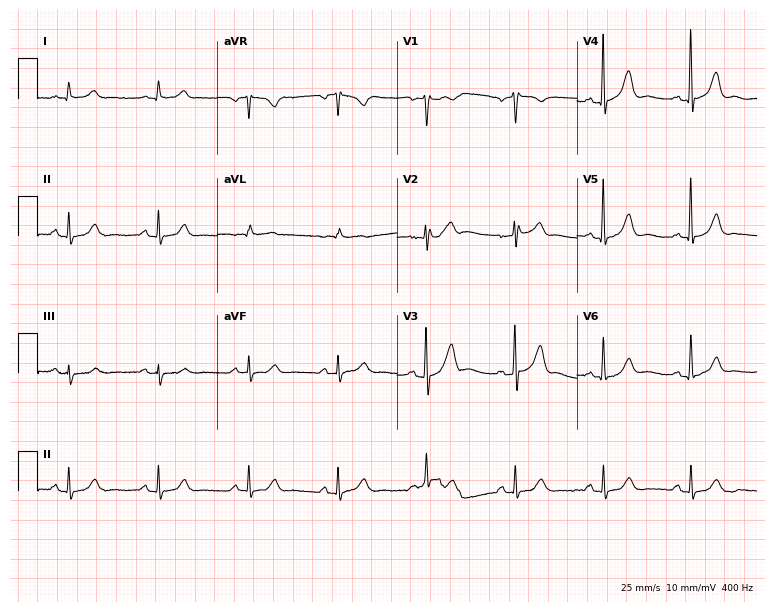
Electrocardiogram, a 77-year-old man. Overall reading on record: normal ECG.